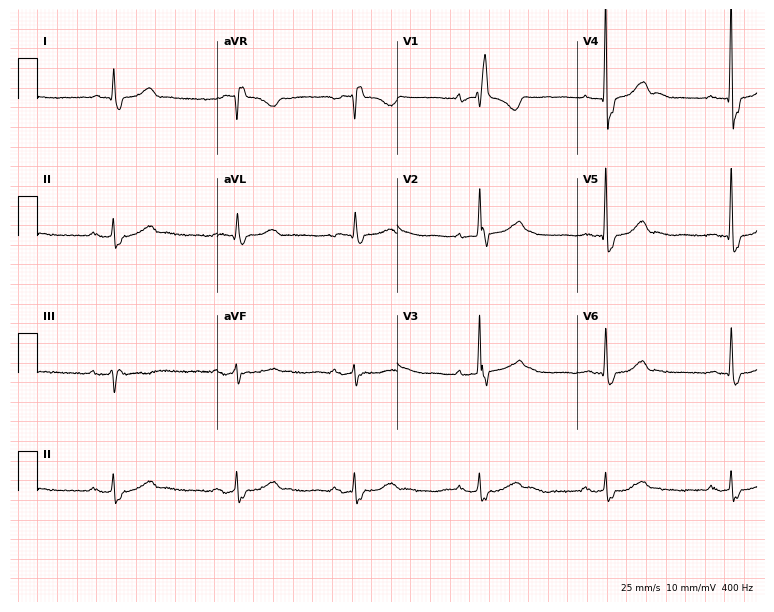
12-lead ECG from a man, 85 years old. Findings include first-degree AV block, right bundle branch block (RBBB), sinus bradycardia (a sinus rate of 50 beats per minute or less).